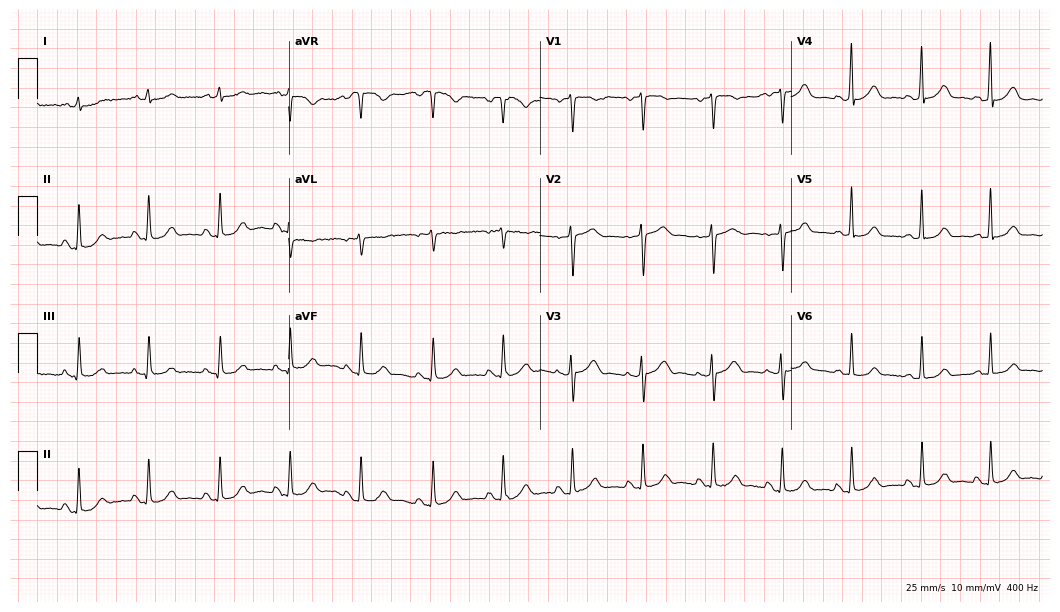
Standard 12-lead ECG recorded from a 52-year-old female patient. Read as a normal ECG.